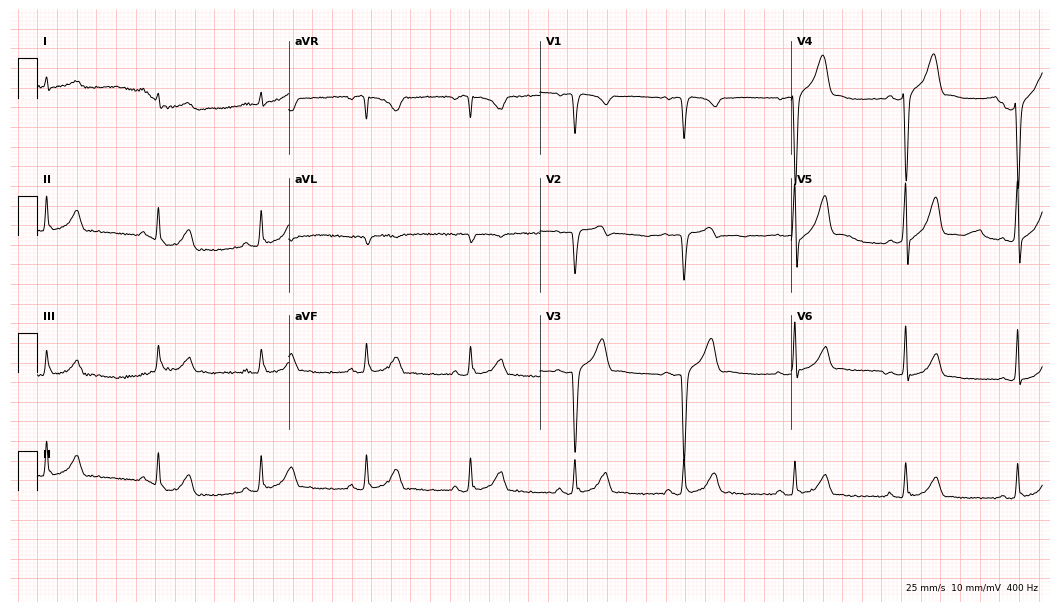
Resting 12-lead electrocardiogram (10.2-second recording at 400 Hz). Patient: a male, 28 years old. Read as a normal ECG.